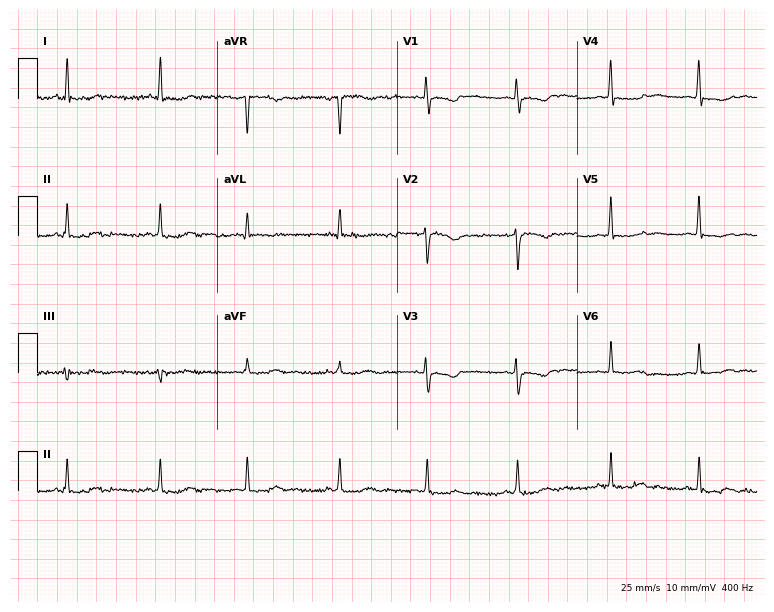
ECG — a female patient, 57 years old. Labelled as a normal ECG.